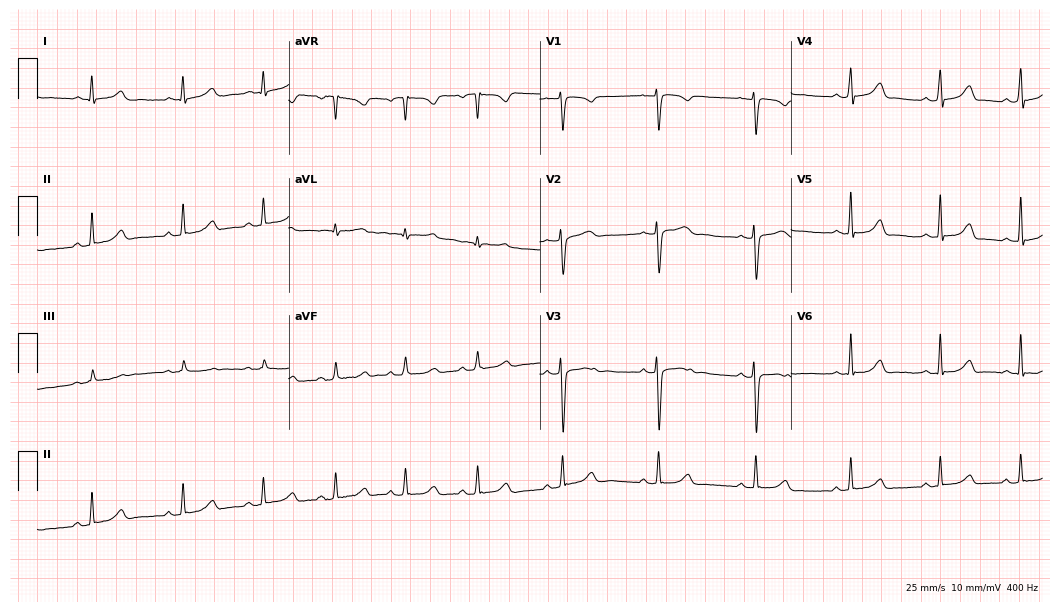
ECG — a 27-year-old woman. Labelled as a normal ECG.